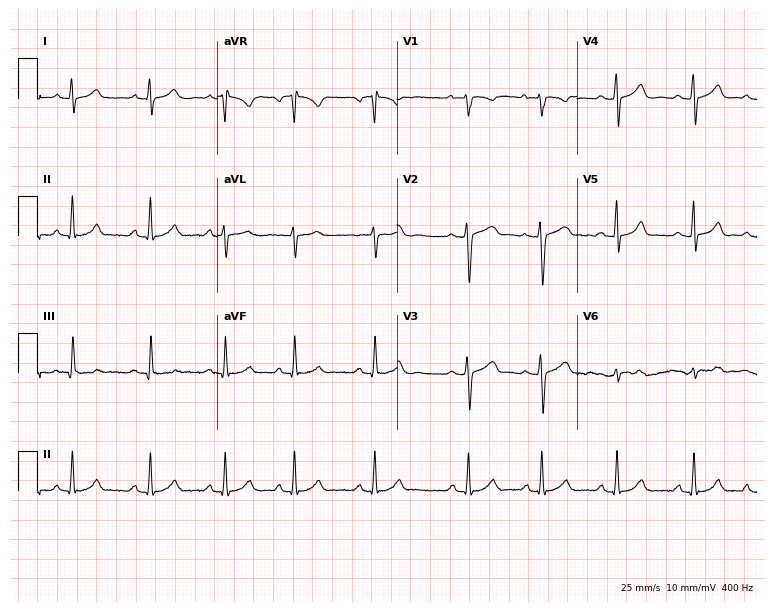
ECG (7.3-second recording at 400 Hz) — a woman, 20 years old. Labelled as a normal ECG.